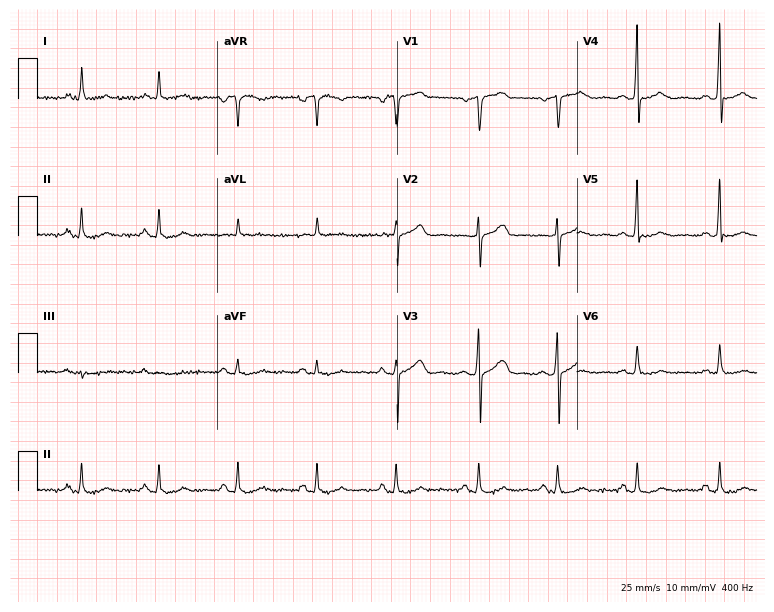
Resting 12-lead electrocardiogram (7.3-second recording at 400 Hz). Patient: a male, 59 years old. Read as a normal ECG.